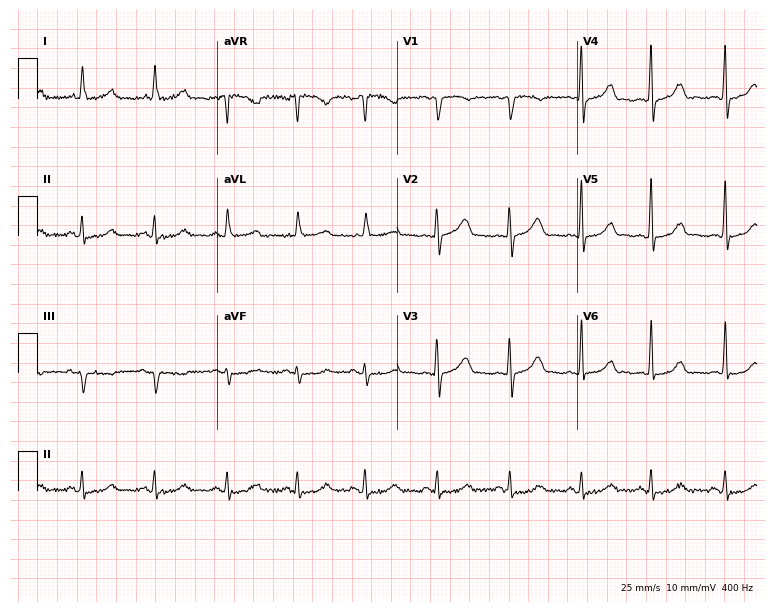
Electrocardiogram (7.3-second recording at 400 Hz), a 68-year-old female. Of the six screened findings (first-degree AV block, right bundle branch block (RBBB), left bundle branch block (LBBB), sinus bradycardia, atrial fibrillation (AF), sinus tachycardia), none is recorded. Findings outside these six are not listed.